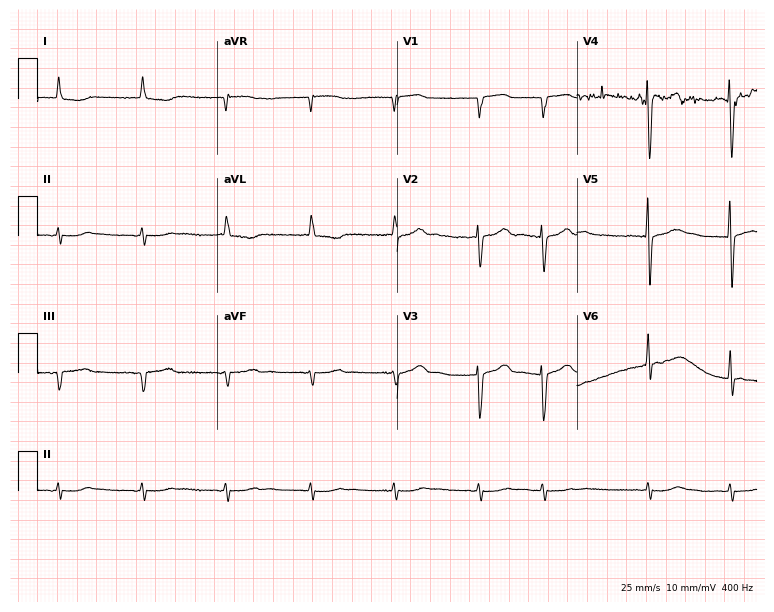
12-lead ECG (7.3-second recording at 400 Hz) from a female, 82 years old. Findings include atrial fibrillation.